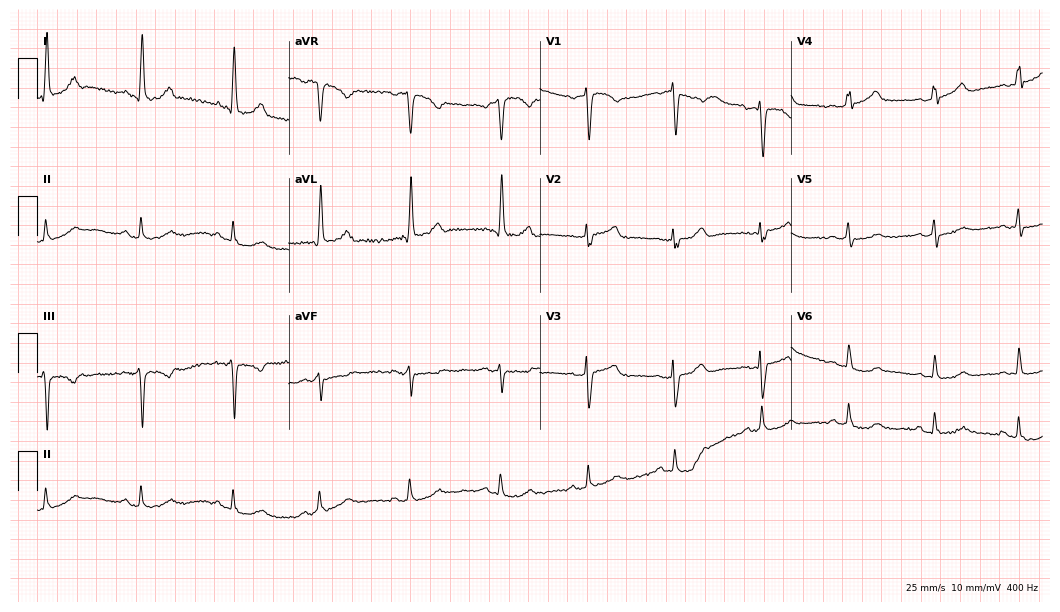
12-lead ECG from a 62-year-old woman. Labelled as a normal ECG.